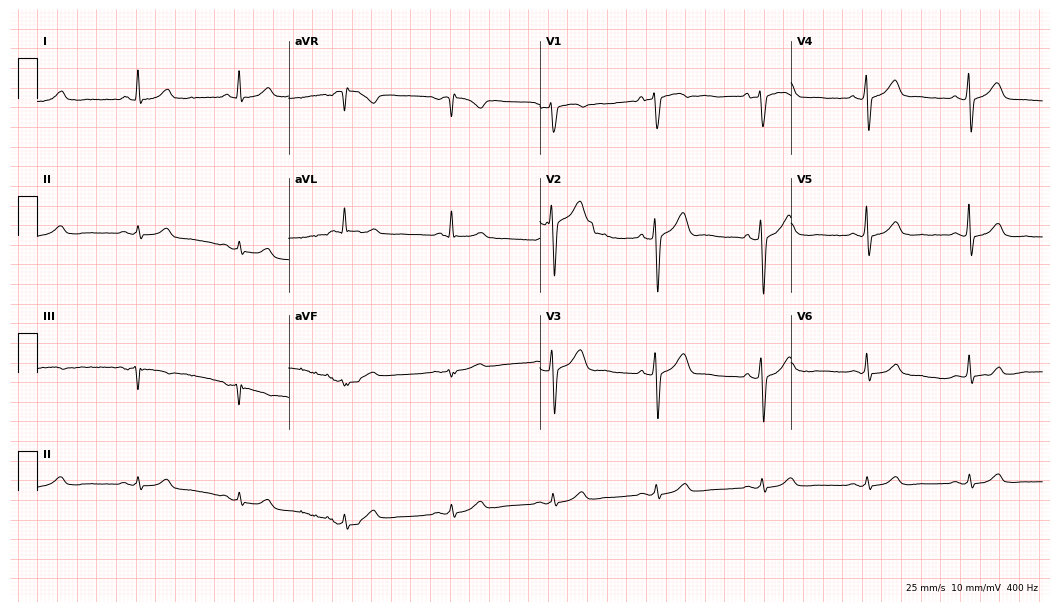
ECG — a man, 62 years old. Labelled as a normal ECG.